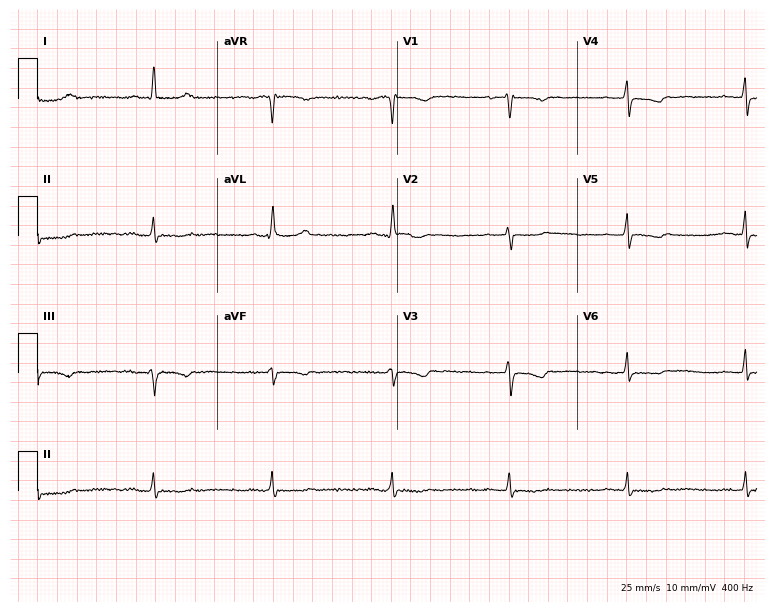
Electrocardiogram, a 77-year-old female patient. Of the six screened findings (first-degree AV block, right bundle branch block, left bundle branch block, sinus bradycardia, atrial fibrillation, sinus tachycardia), none is recorded. Other findings, if any, are not listed.